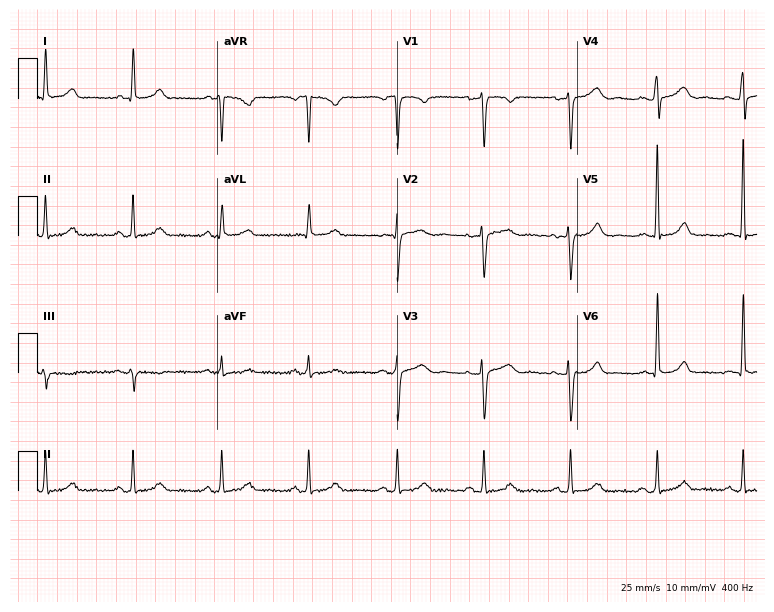
12-lead ECG from a 48-year-old woman. Labelled as a normal ECG.